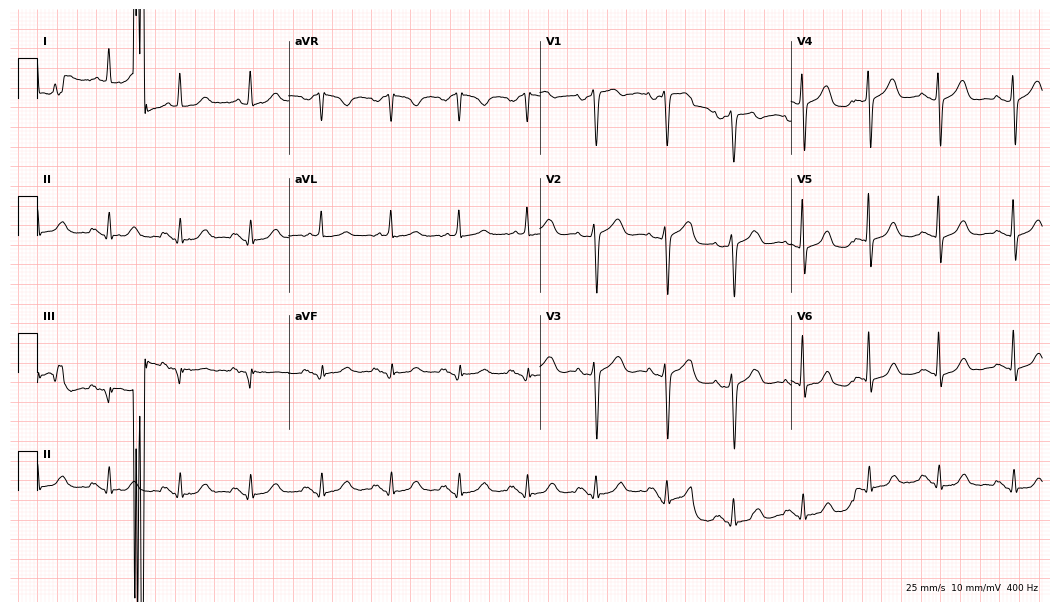
Resting 12-lead electrocardiogram (10.2-second recording at 400 Hz). Patient: a 49-year-old female. None of these six findings is recorded: first-degree AV block, right bundle branch block, left bundle branch block, sinus bradycardia, atrial fibrillation, sinus tachycardia.